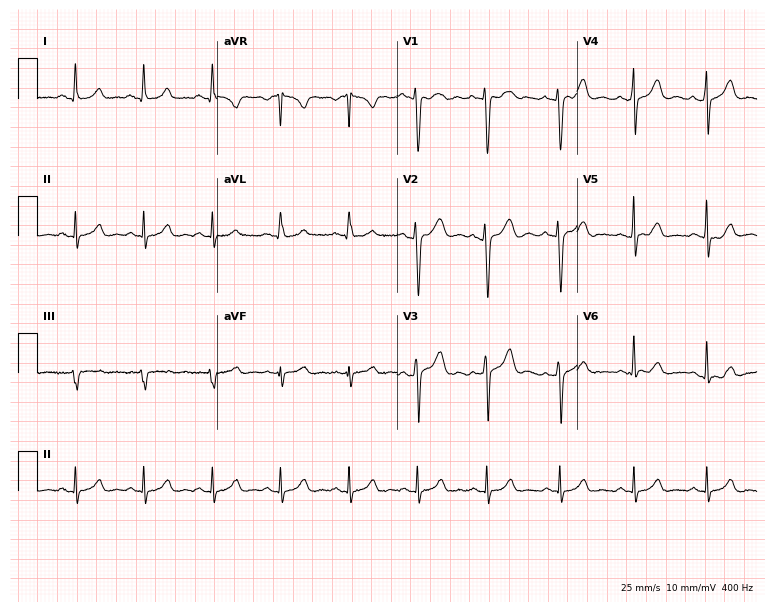
Resting 12-lead electrocardiogram. Patient: a 39-year-old female. Read as a normal ECG.